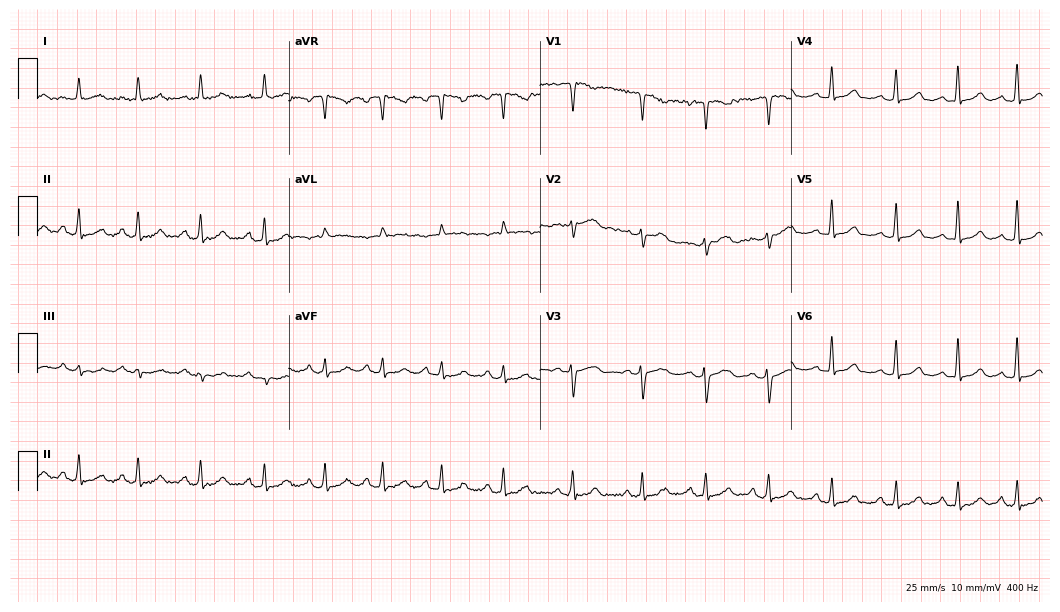
Resting 12-lead electrocardiogram. Patient: a woman, 40 years old. Read as a normal ECG.